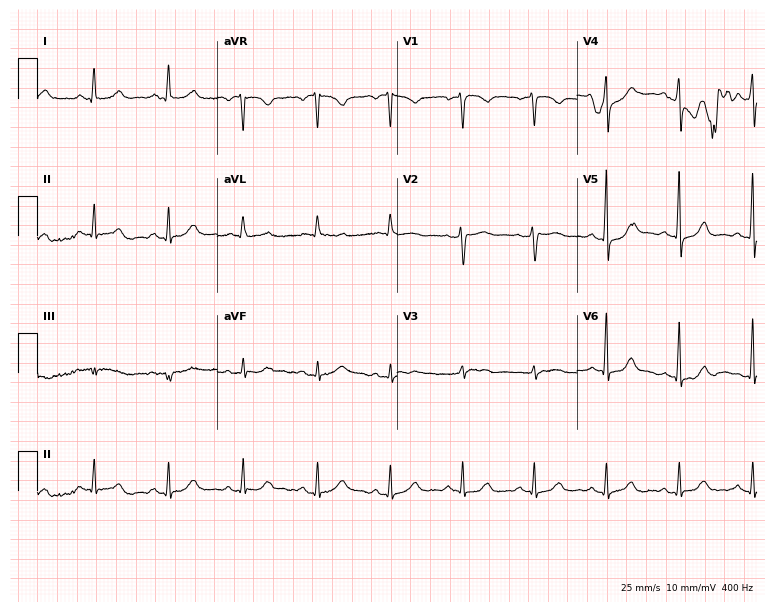
12-lead ECG from a female patient, 48 years old (7.3-second recording at 400 Hz). Recorded interpretation: within normal limits.